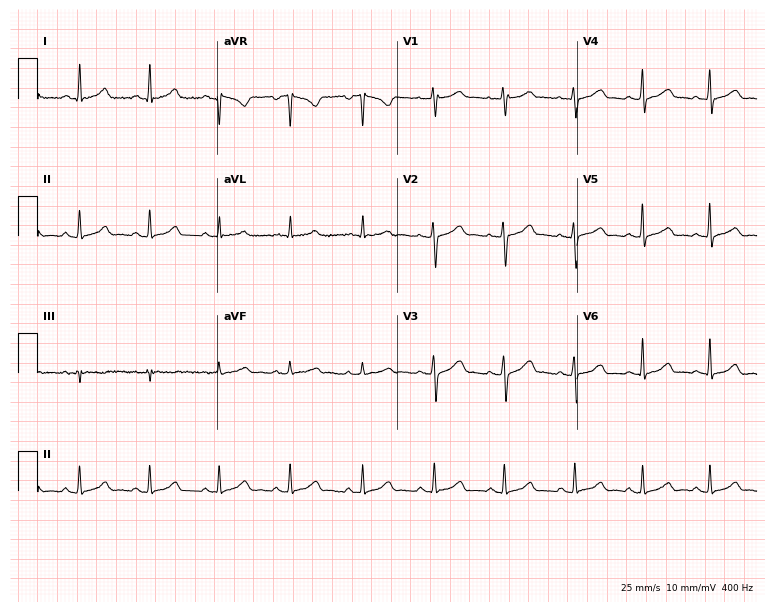
12-lead ECG from a 28-year-old woman. Screened for six findings — first-degree AV block, right bundle branch block, left bundle branch block, sinus bradycardia, atrial fibrillation, sinus tachycardia — none is recorded.